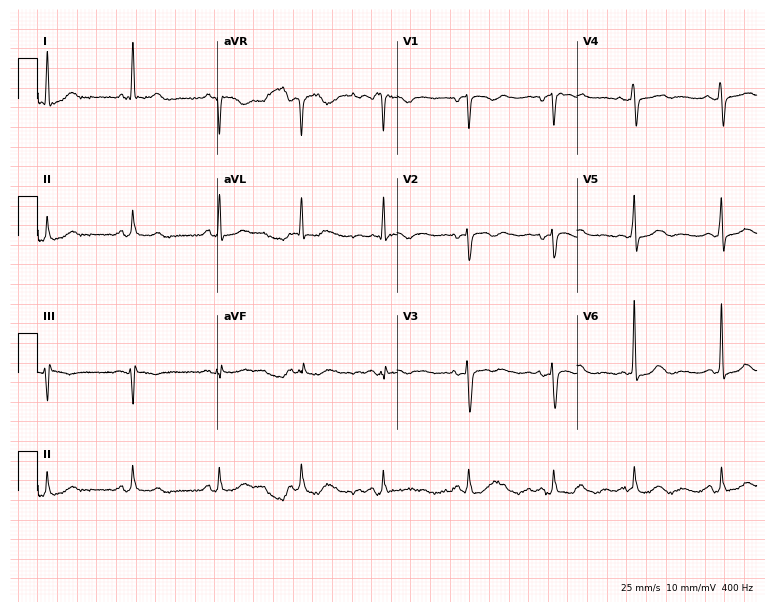
Electrocardiogram (7.3-second recording at 400 Hz), a female patient, 63 years old. Of the six screened findings (first-degree AV block, right bundle branch block (RBBB), left bundle branch block (LBBB), sinus bradycardia, atrial fibrillation (AF), sinus tachycardia), none is recorded.